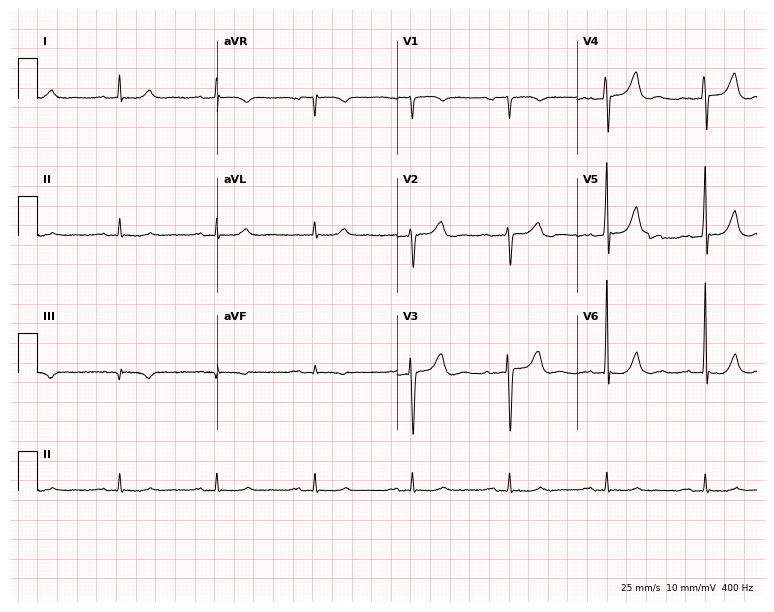
Resting 12-lead electrocardiogram. Patient: an 80-year-old male. Read as a normal ECG.